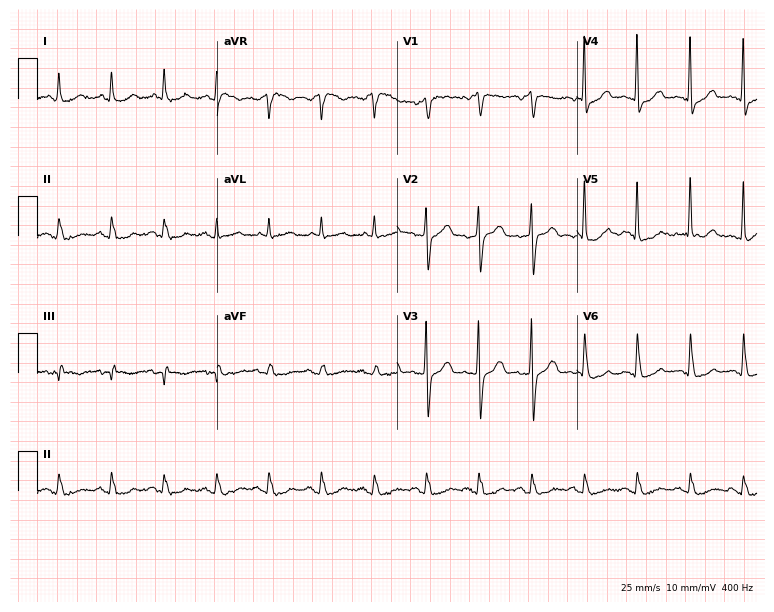
Standard 12-lead ECG recorded from a female patient, 74 years old. The tracing shows sinus tachycardia (a sinus rate of 100 beats per minute or more).